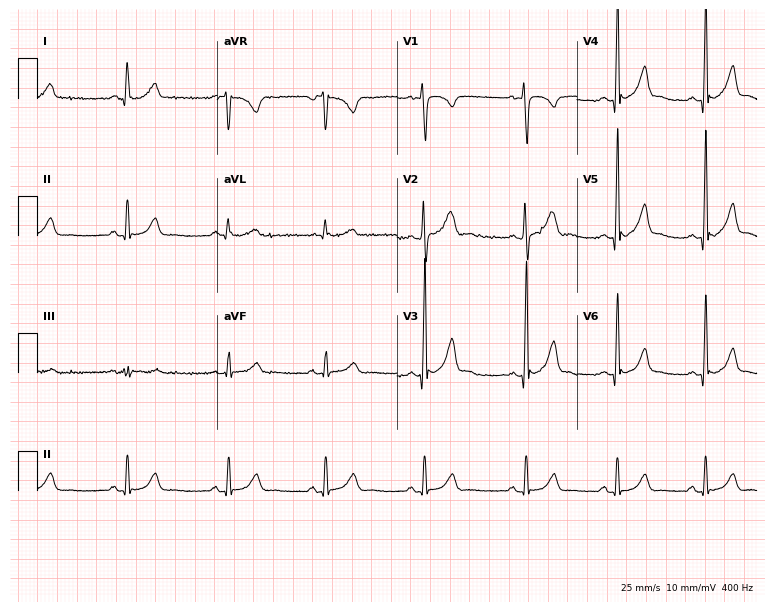
12-lead ECG from a man, 21 years old. Screened for six findings — first-degree AV block, right bundle branch block (RBBB), left bundle branch block (LBBB), sinus bradycardia, atrial fibrillation (AF), sinus tachycardia — none is recorded.